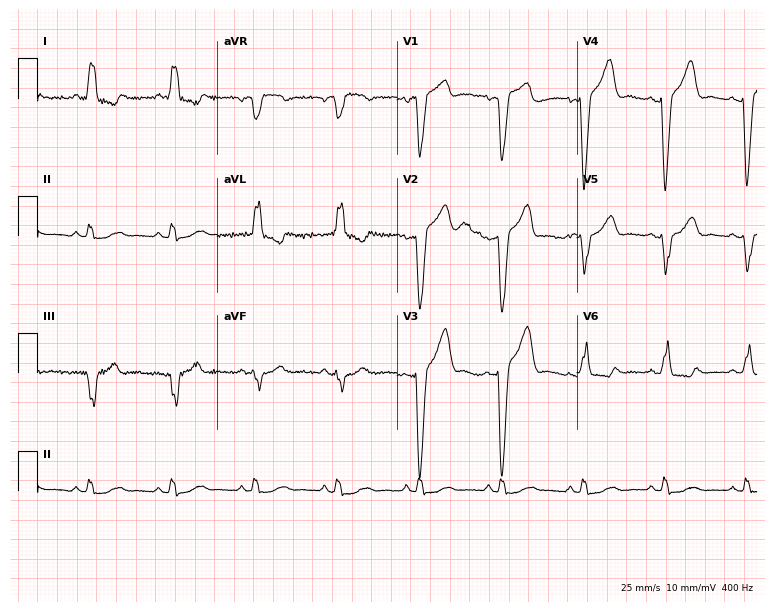
ECG — a female patient, 49 years old. Findings include left bundle branch block (LBBB).